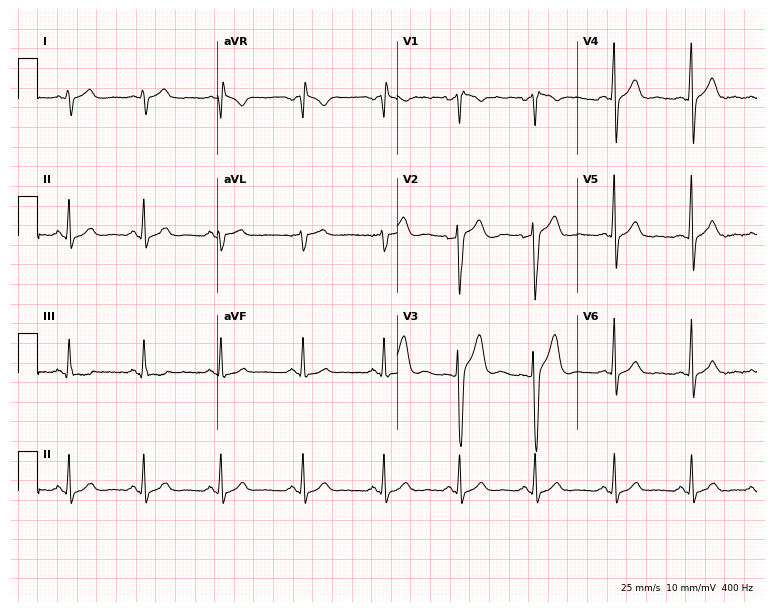
12-lead ECG from a 31-year-old male. Screened for six findings — first-degree AV block, right bundle branch block, left bundle branch block, sinus bradycardia, atrial fibrillation, sinus tachycardia — none is recorded.